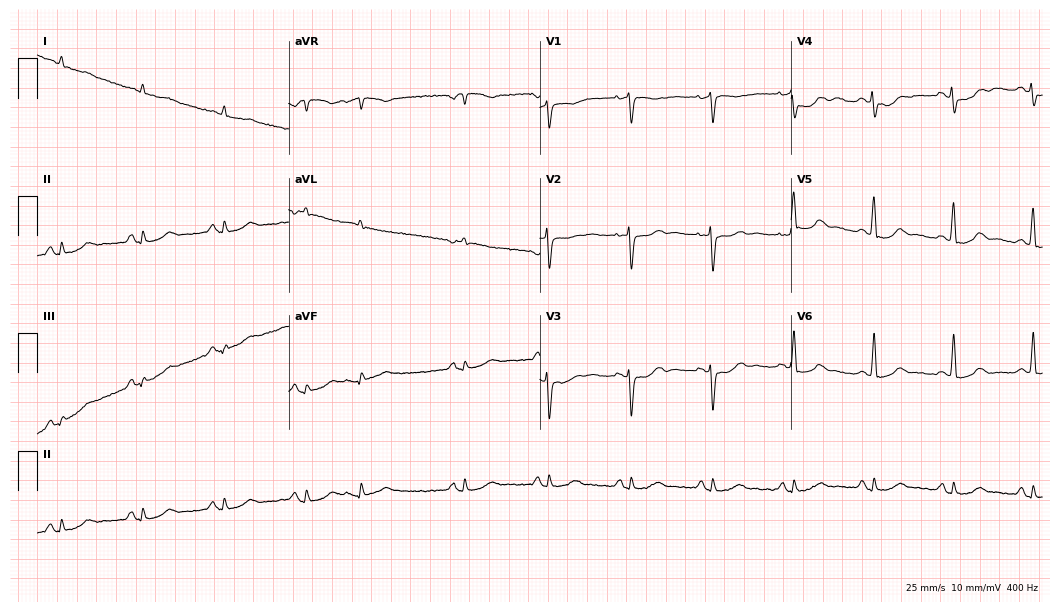
12-lead ECG from an 84-year-old male. Recorded interpretation: within normal limits.